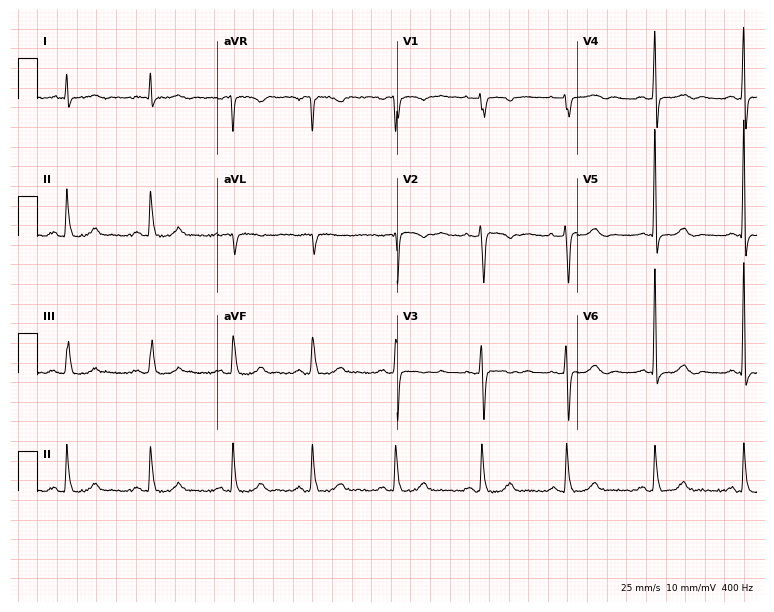
12-lead ECG (7.3-second recording at 400 Hz) from a woman, 64 years old. Screened for six findings — first-degree AV block, right bundle branch block, left bundle branch block, sinus bradycardia, atrial fibrillation, sinus tachycardia — none is recorded. Other findings, if any, are not listed.